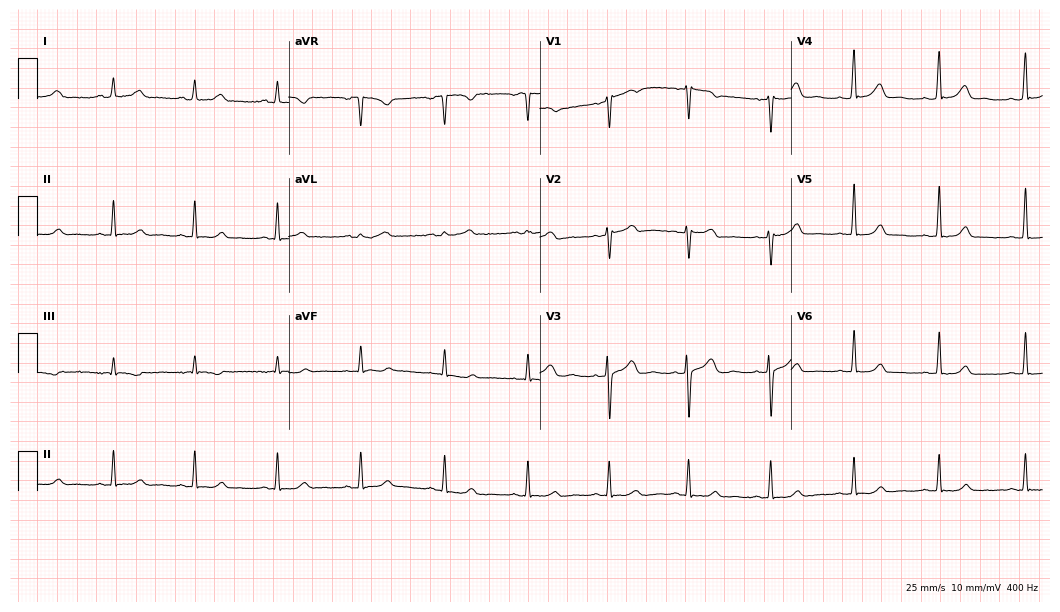
Resting 12-lead electrocardiogram (10.2-second recording at 400 Hz). Patient: a 38-year-old woman. None of these six findings is recorded: first-degree AV block, right bundle branch block, left bundle branch block, sinus bradycardia, atrial fibrillation, sinus tachycardia. Findings outside these six are not listed.